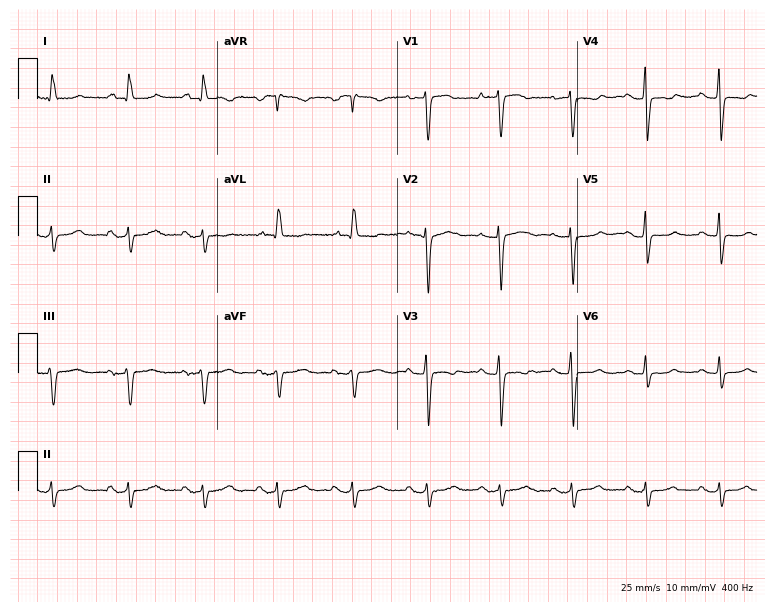
Resting 12-lead electrocardiogram. Patient: a 38-year-old female. None of these six findings is recorded: first-degree AV block, right bundle branch block, left bundle branch block, sinus bradycardia, atrial fibrillation, sinus tachycardia.